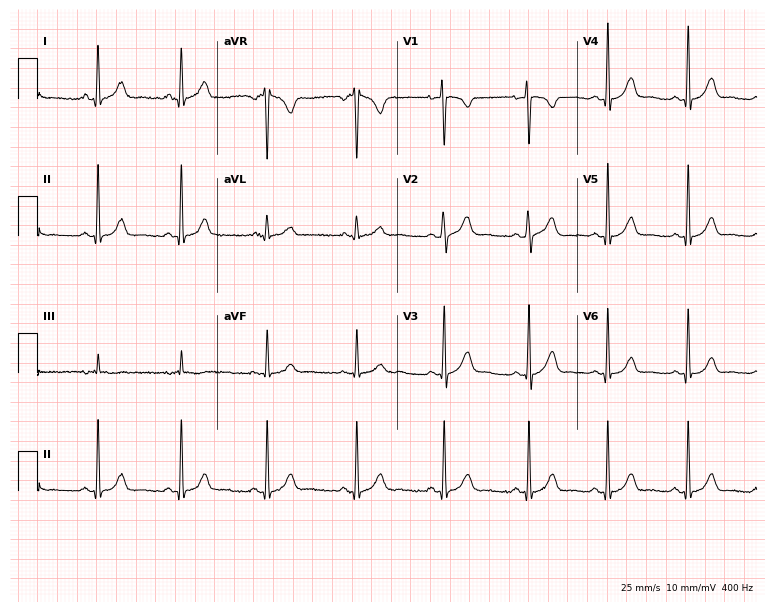
ECG — a 24-year-old female. Labelled as a normal ECG.